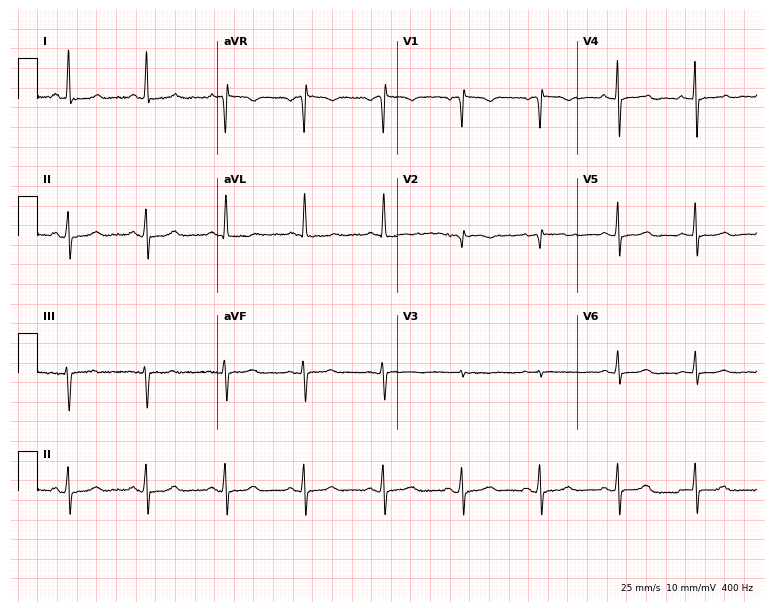
Standard 12-lead ECG recorded from a 65-year-old female. None of these six findings is recorded: first-degree AV block, right bundle branch block, left bundle branch block, sinus bradycardia, atrial fibrillation, sinus tachycardia. Other findings, if any, are not listed.